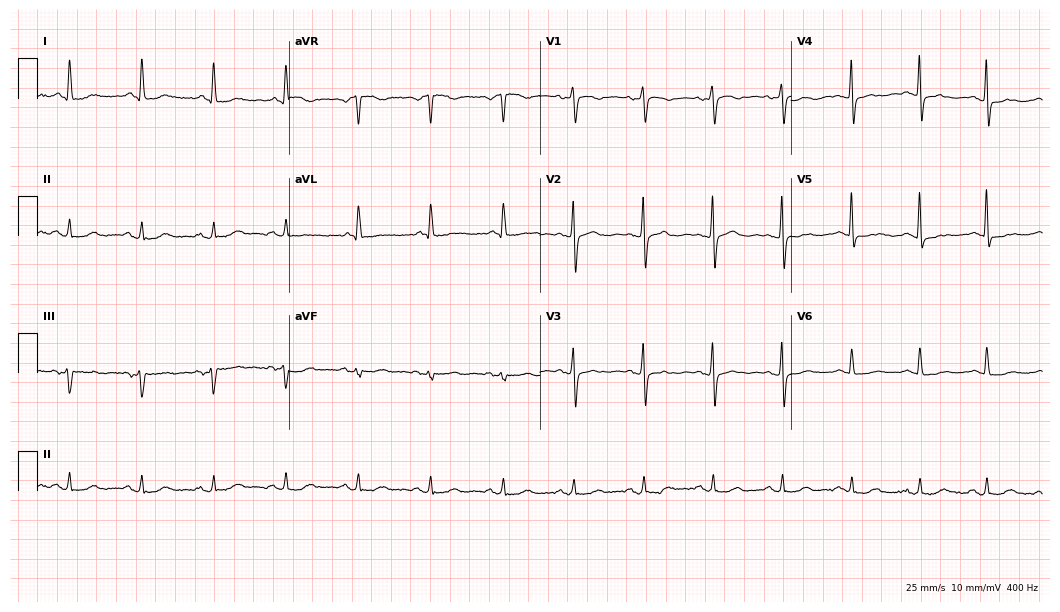
Electrocardiogram (10.2-second recording at 400 Hz), a 77-year-old female. Of the six screened findings (first-degree AV block, right bundle branch block (RBBB), left bundle branch block (LBBB), sinus bradycardia, atrial fibrillation (AF), sinus tachycardia), none is recorded. Findings outside these six are not listed.